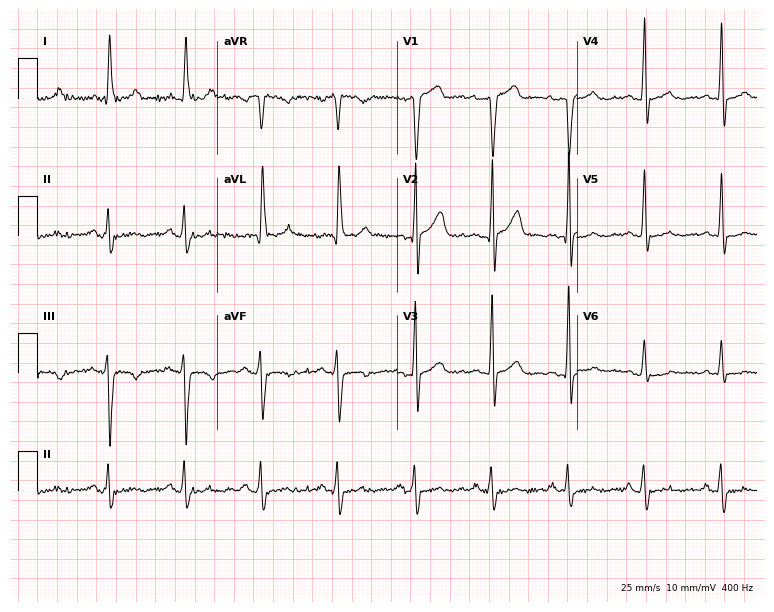
12-lead ECG (7.3-second recording at 400 Hz) from a male, 70 years old. Screened for six findings — first-degree AV block, right bundle branch block, left bundle branch block, sinus bradycardia, atrial fibrillation, sinus tachycardia — none is recorded. Only these six findings were labelled.